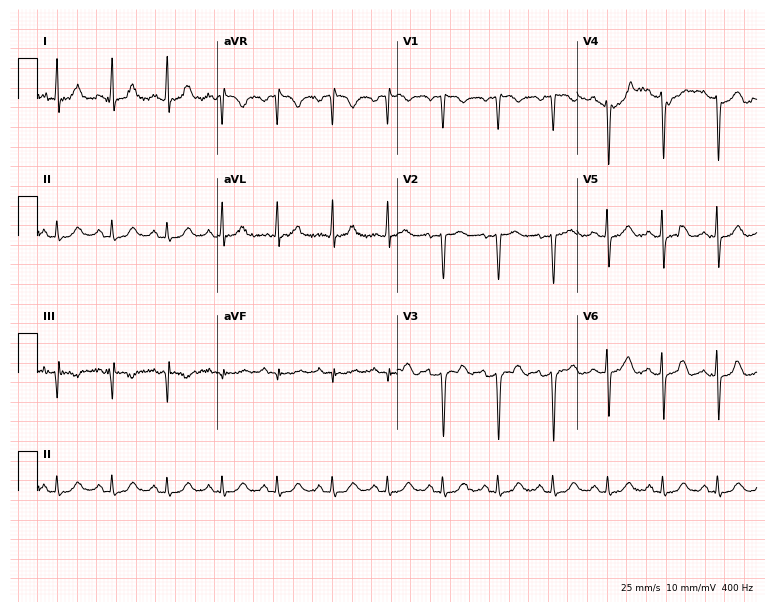
ECG (7.3-second recording at 400 Hz) — a 59-year-old female patient. Findings include sinus tachycardia (a sinus rate of 100 beats per minute or more).